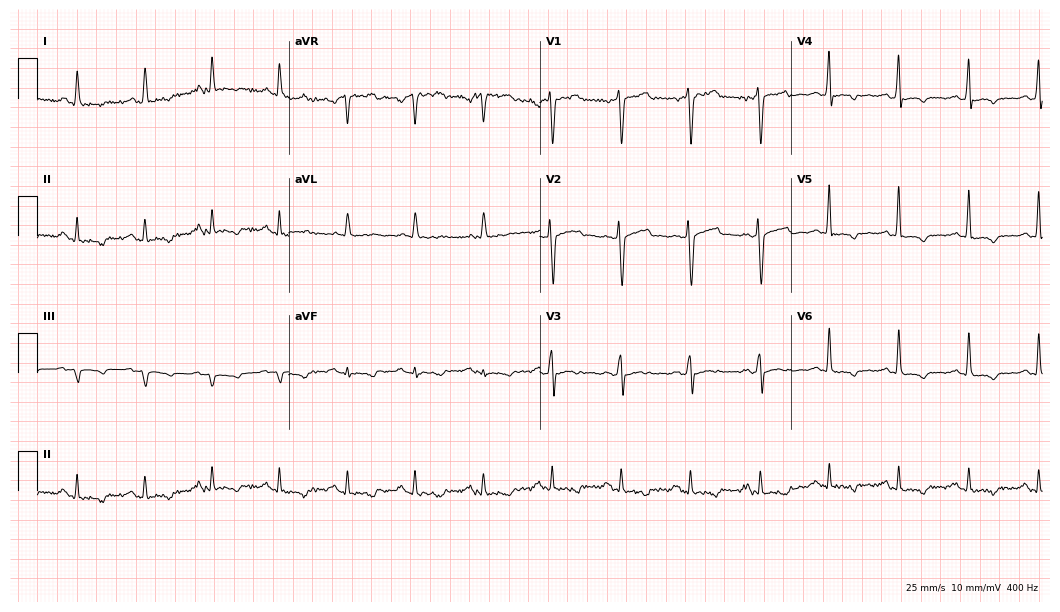
Resting 12-lead electrocardiogram. Patient: a 52-year-old male. None of these six findings is recorded: first-degree AV block, right bundle branch block, left bundle branch block, sinus bradycardia, atrial fibrillation, sinus tachycardia.